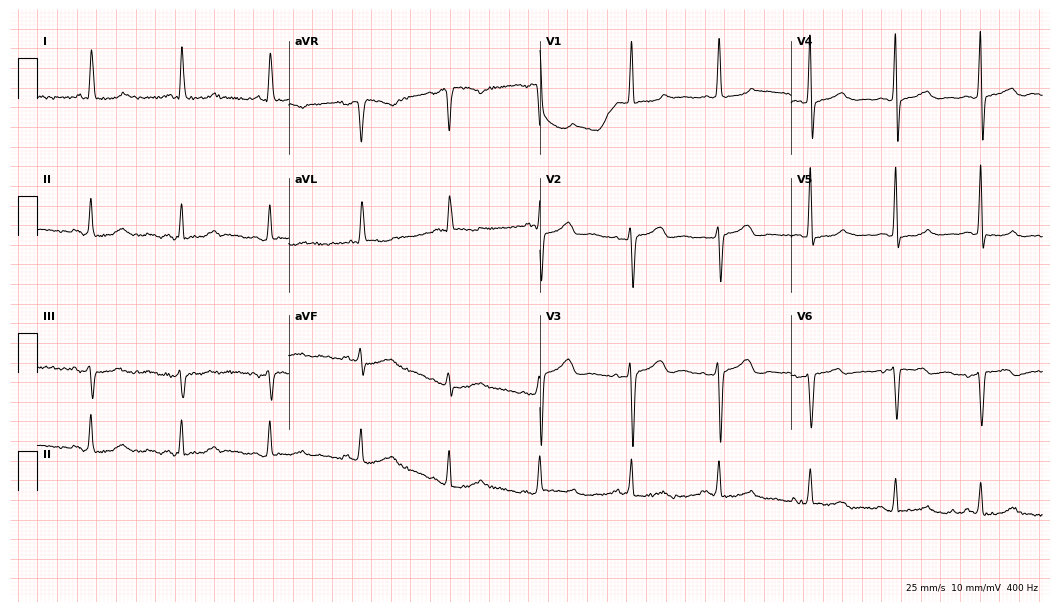
12-lead ECG from a 79-year-old woman. Screened for six findings — first-degree AV block, right bundle branch block, left bundle branch block, sinus bradycardia, atrial fibrillation, sinus tachycardia — none is recorded.